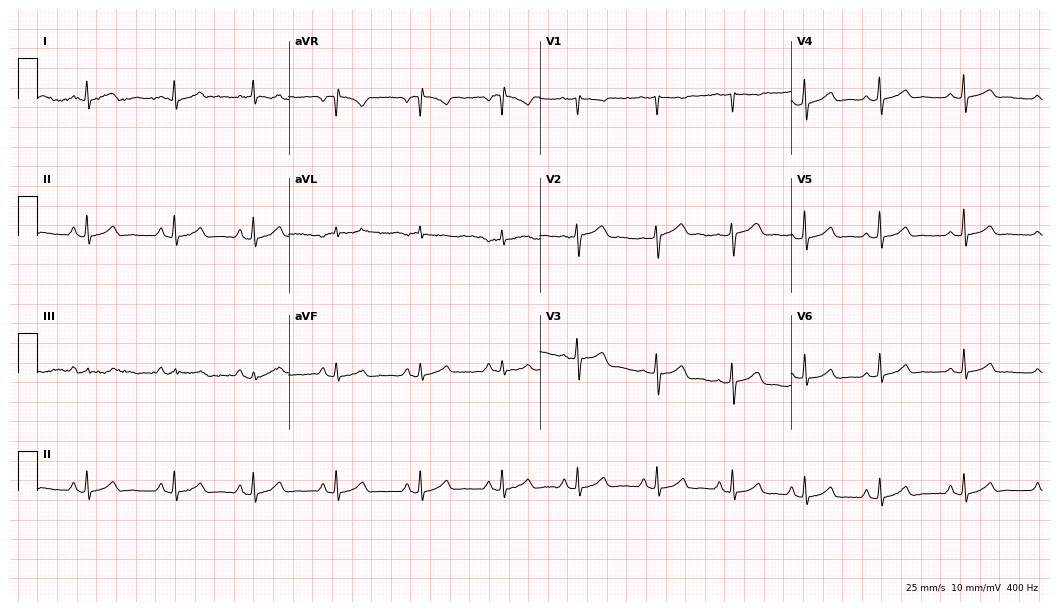
ECG — a female patient, 48 years old. Labelled as a normal ECG.